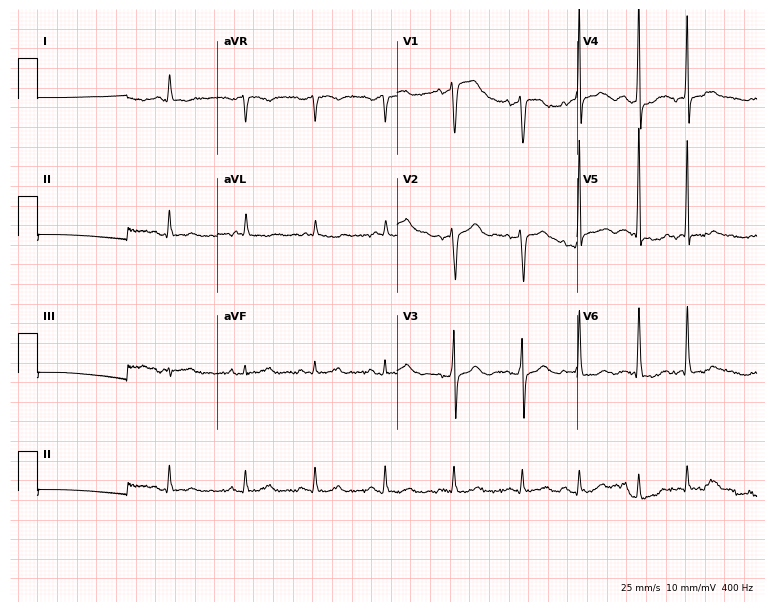
Standard 12-lead ECG recorded from a male patient, 84 years old (7.3-second recording at 400 Hz). None of these six findings is recorded: first-degree AV block, right bundle branch block, left bundle branch block, sinus bradycardia, atrial fibrillation, sinus tachycardia.